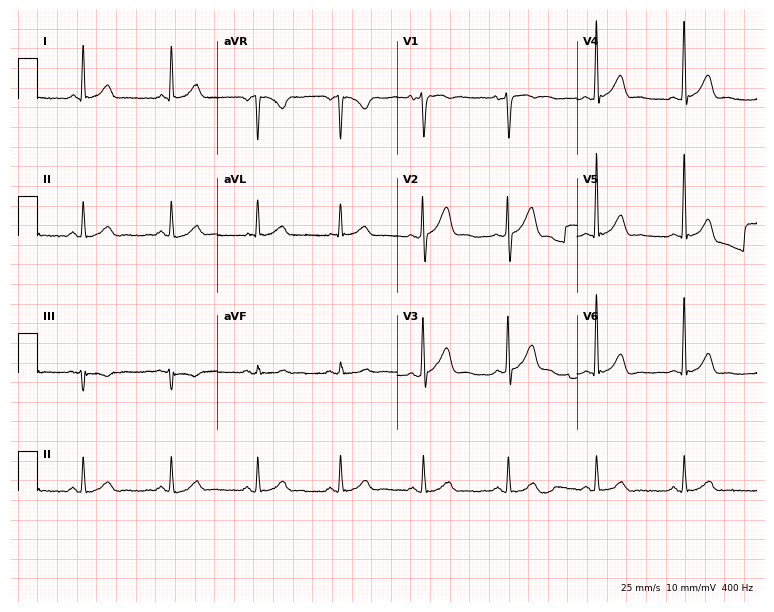
Resting 12-lead electrocardiogram. Patient: a 37-year-old man. Read as a normal ECG.